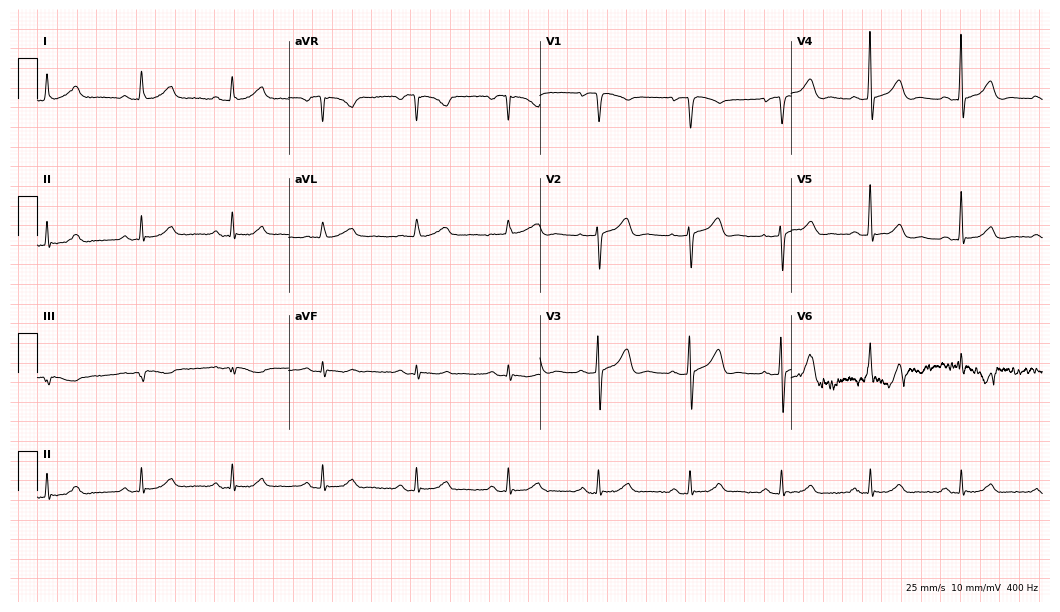
12-lead ECG from a woman, 72 years old. Labelled as a normal ECG.